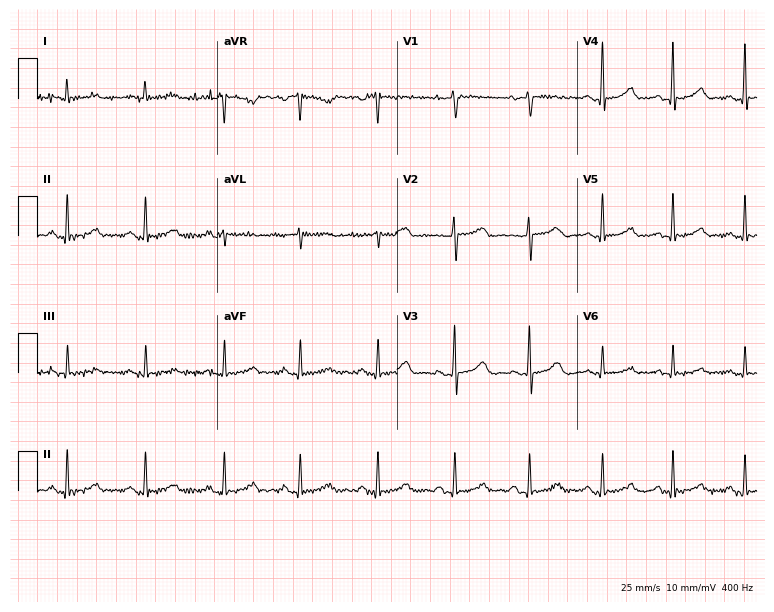
Standard 12-lead ECG recorded from a 51-year-old woman. Read as a normal ECG.